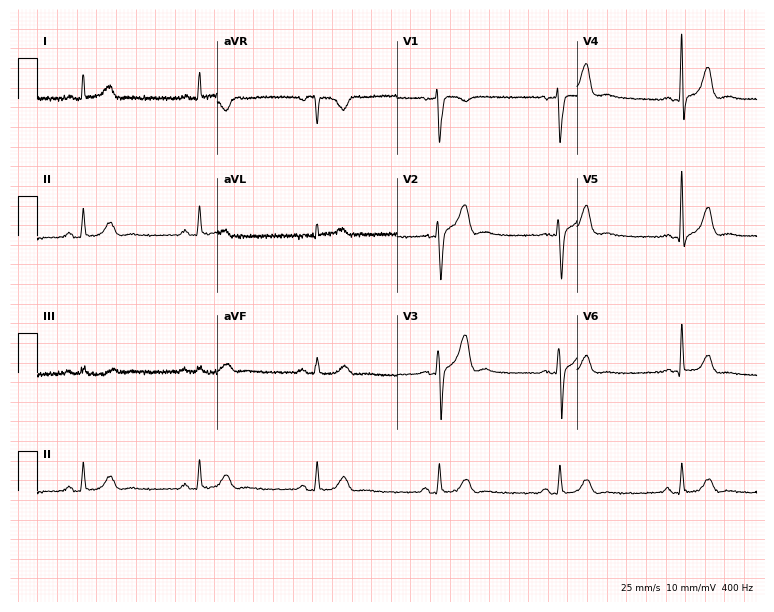
ECG — a 55-year-old man. Labelled as a normal ECG.